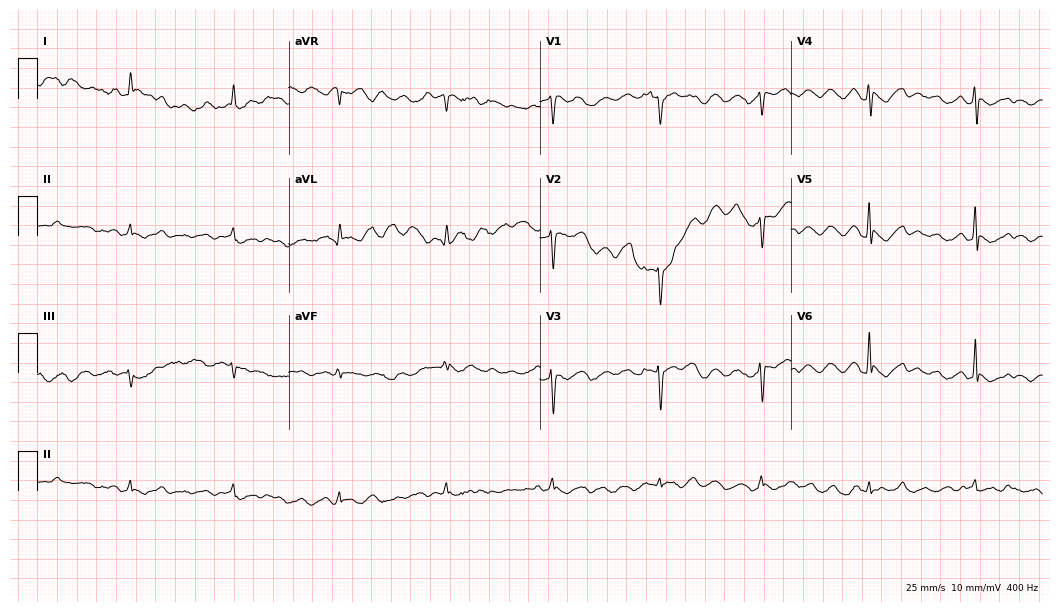
Electrocardiogram (10.2-second recording at 400 Hz), a 75-year-old female. Of the six screened findings (first-degree AV block, right bundle branch block, left bundle branch block, sinus bradycardia, atrial fibrillation, sinus tachycardia), none is recorded.